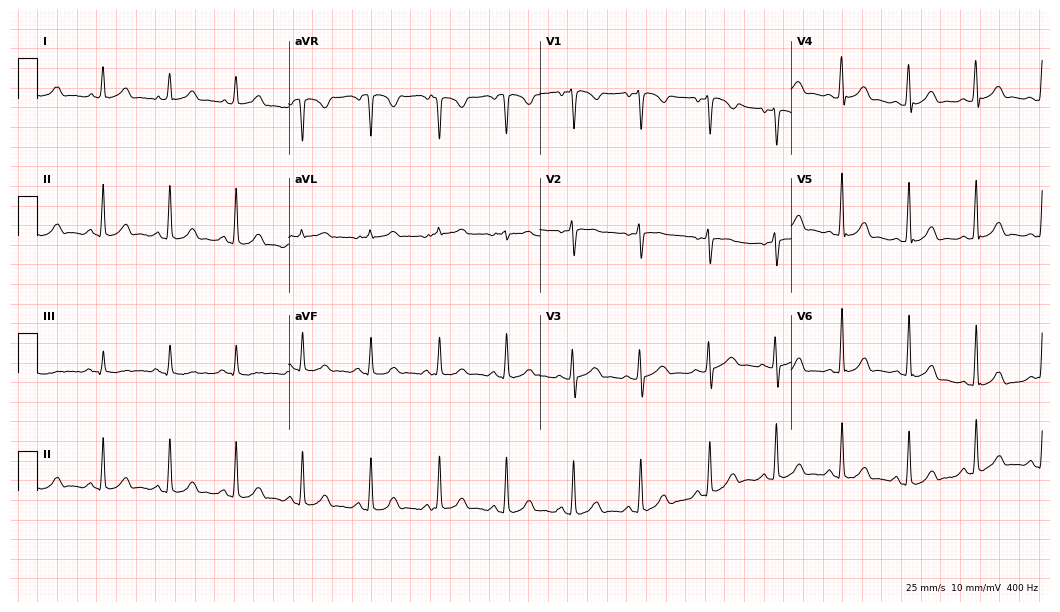
12-lead ECG from a woman, 27 years old. Labelled as a normal ECG.